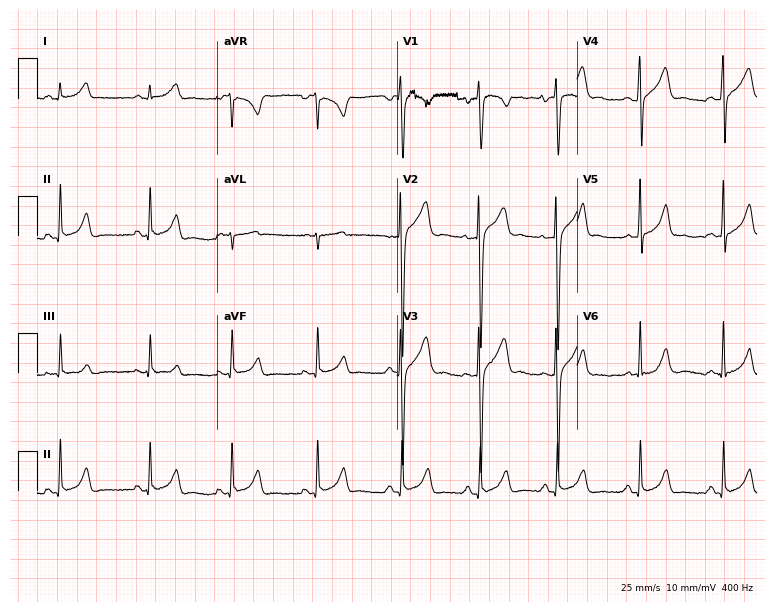
ECG (7.3-second recording at 400 Hz) — an 18-year-old male. Labelled as a normal ECG.